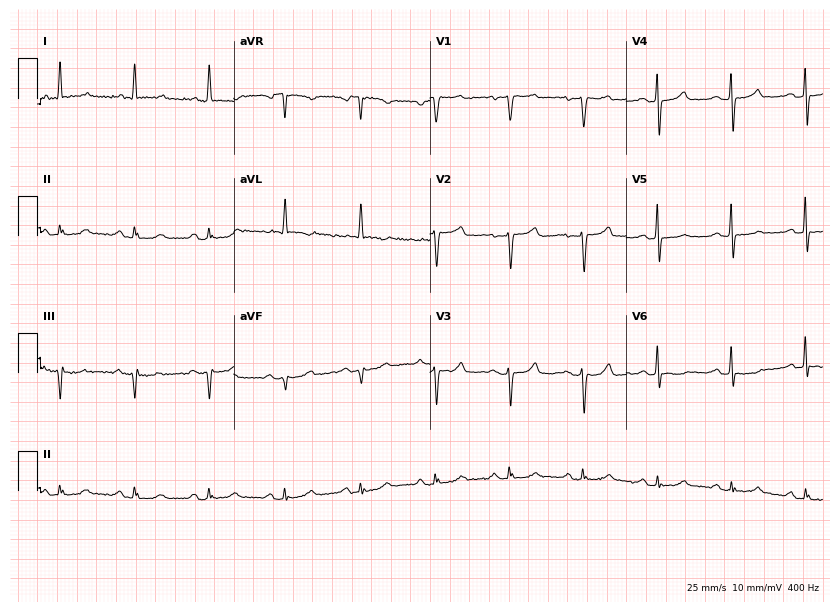
Standard 12-lead ECG recorded from a female, 72 years old. None of these six findings is recorded: first-degree AV block, right bundle branch block, left bundle branch block, sinus bradycardia, atrial fibrillation, sinus tachycardia.